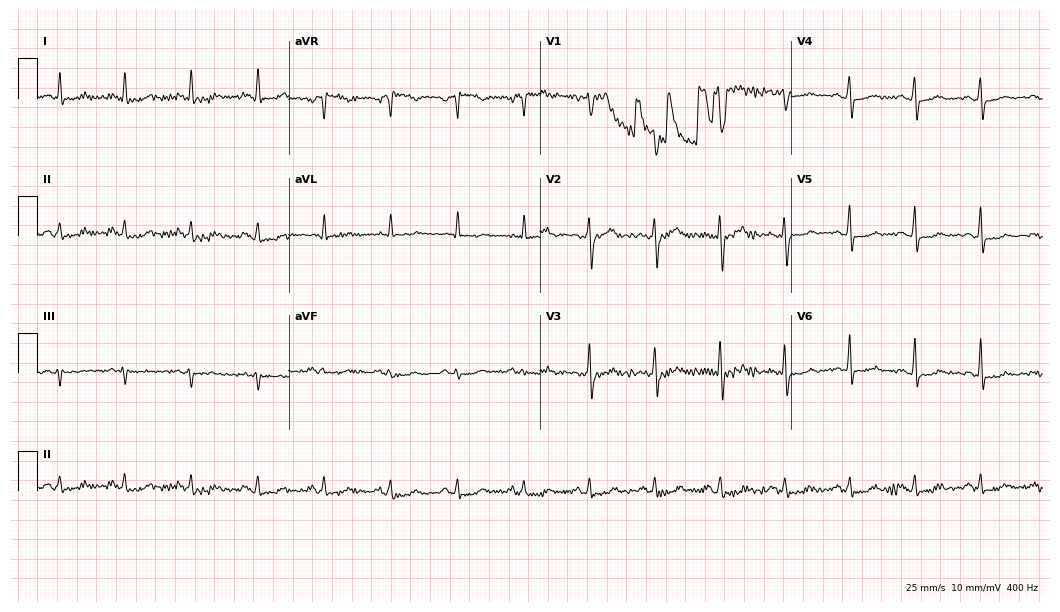
Electrocardiogram (10.2-second recording at 400 Hz), a 58-year-old woman. Of the six screened findings (first-degree AV block, right bundle branch block, left bundle branch block, sinus bradycardia, atrial fibrillation, sinus tachycardia), none is recorded. Other findings, if any, are not listed.